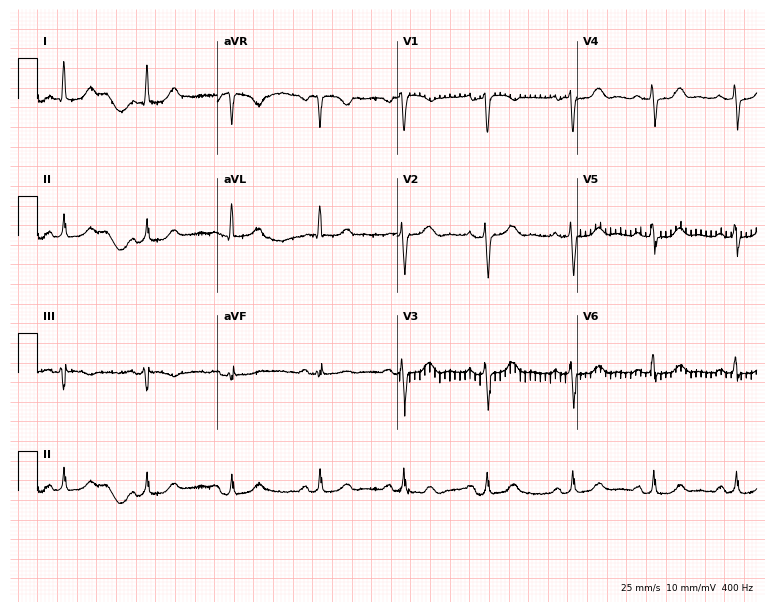
Resting 12-lead electrocardiogram (7.3-second recording at 400 Hz). Patient: a female, 54 years old. Read as a normal ECG.